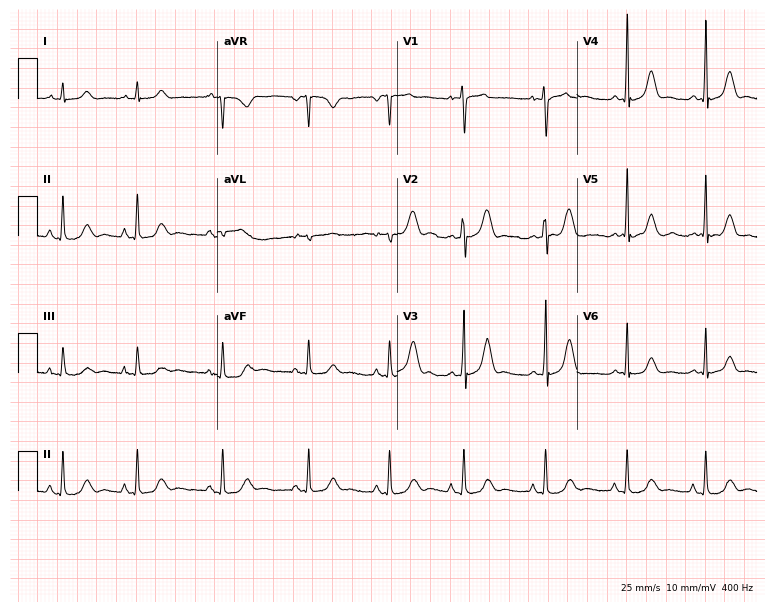
12-lead ECG (7.3-second recording at 400 Hz) from a female, 30 years old. Screened for six findings — first-degree AV block, right bundle branch block, left bundle branch block, sinus bradycardia, atrial fibrillation, sinus tachycardia — none is recorded. Other findings, if any, are not listed.